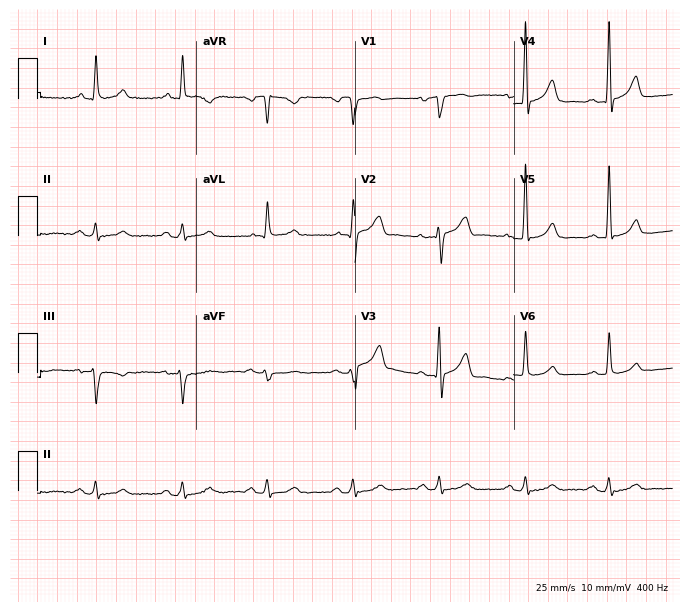
Resting 12-lead electrocardiogram. Patient: a male, 81 years old. Read as a normal ECG.